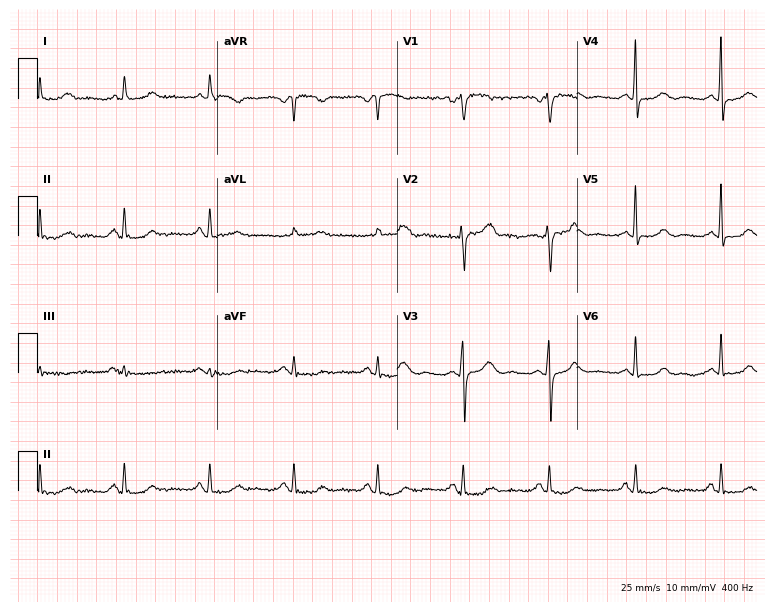
Electrocardiogram, a 75-year-old woman. Overall reading on record: normal ECG.